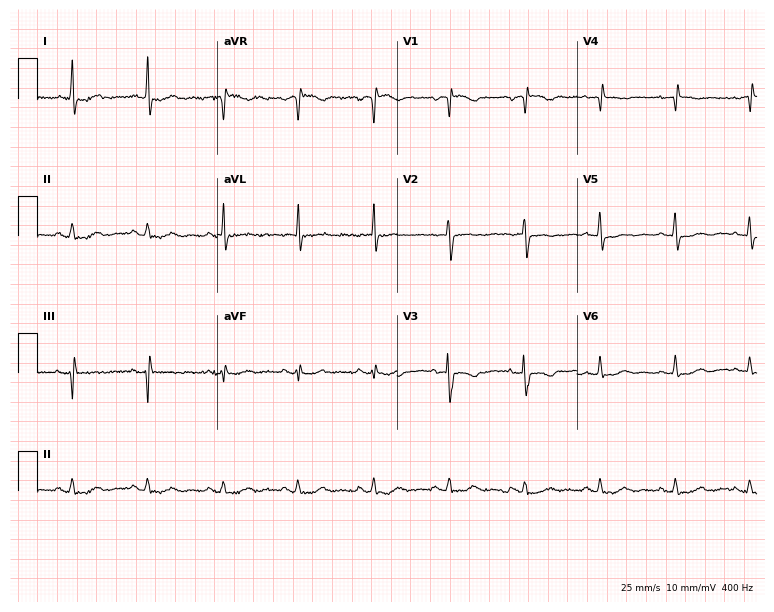
Standard 12-lead ECG recorded from an 85-year-old female patient. None of these six findings is recorded: first-degree AV block, right bundle branch block, left bundle branch block, sinus bradycardia, atrial fibrillation, sinus tachycardia.